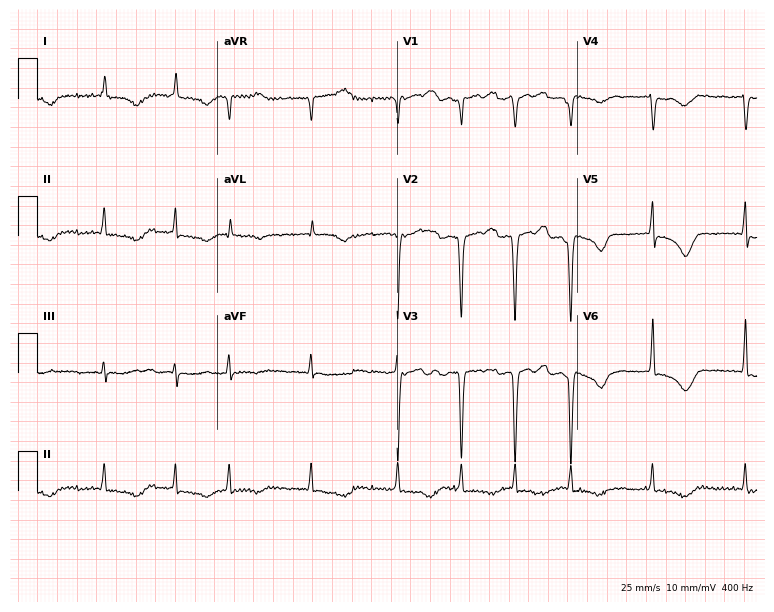
Electrocardiogram (7.3-second recording at 400 Hz), a 76-year-old female. Interpretation includes atrial fibrillation.